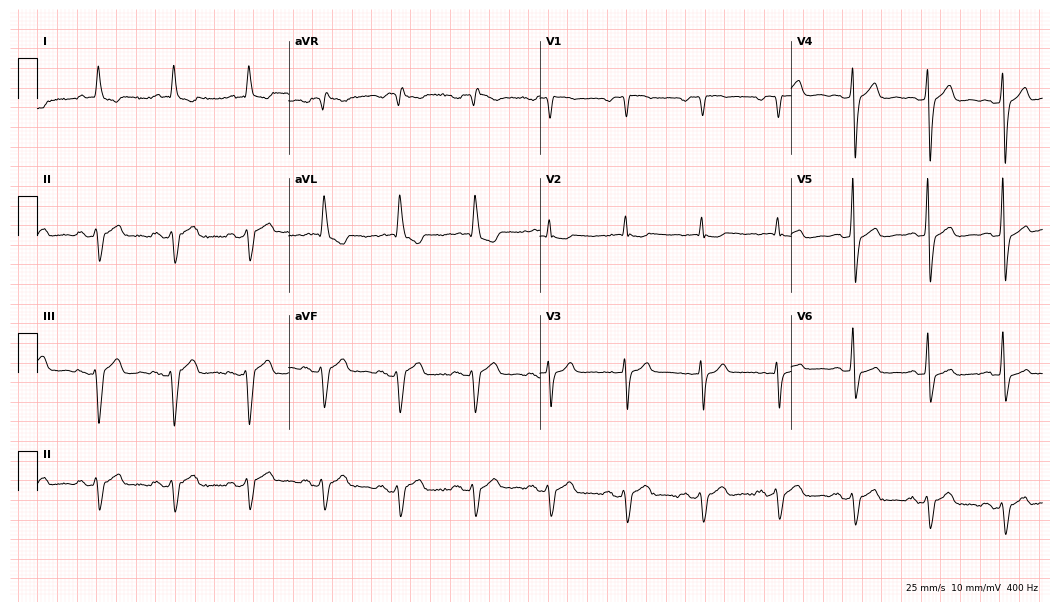
12-lead ECG from a female patient, 73 years old. No first-degree AV block, right bundle branch block, left bundle branch block, sinus bradycardia, atrial fibrillation or sinus tachycardia recorded for this tracing. Only these six findings were labelled.